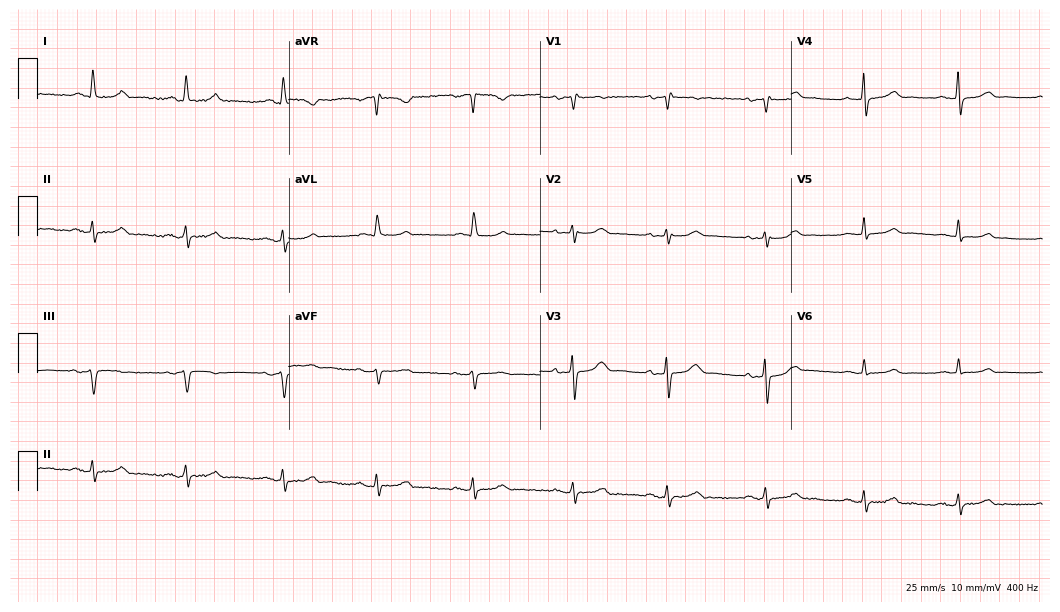
Standard 12-lead ECG recorded from a 67-year-old female patient (10.2-second recording at 400 Hz). None of these six findings is recorded: first-degree AV block, right bundle branch block, left bundle branch block, sinus bradycardia, atrial fibrillation, sinus tachycardia. Findings outside these six are not listed.